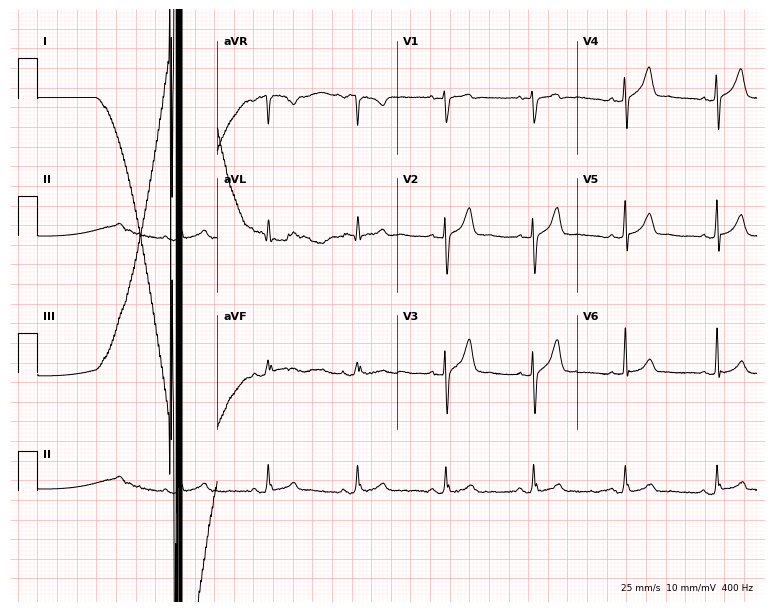
Standard 12-lead ECG recorded from a 32-year-old male patient. None of these six findings is recorded: first-degree AV block, right bundle branch block, left bundle branch block, sinus bradycardia, atrial fibrillation, sinus tachycardia. Only these six findings were labelled.